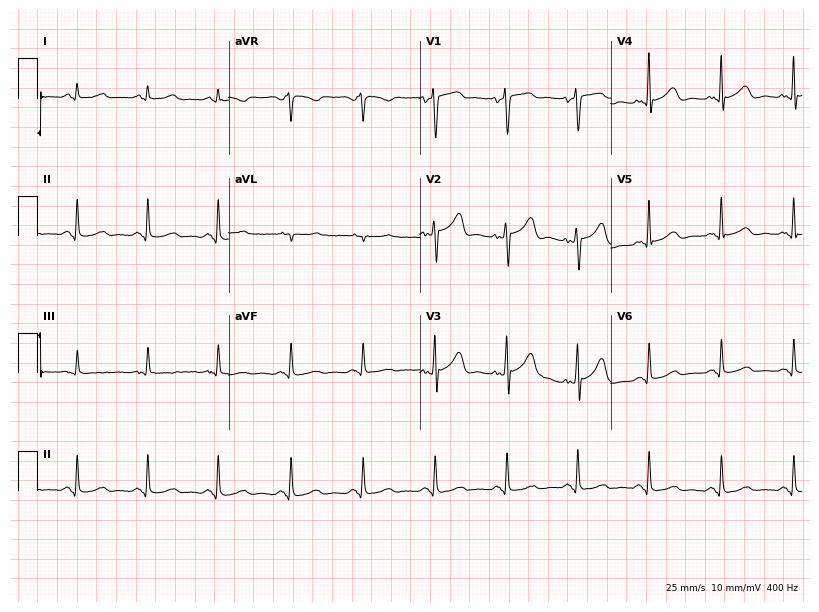
Electrocardiogram (7.8-second recording at 400 Hz), a woman, 68 years old. Overall reading on record: normal ECG.